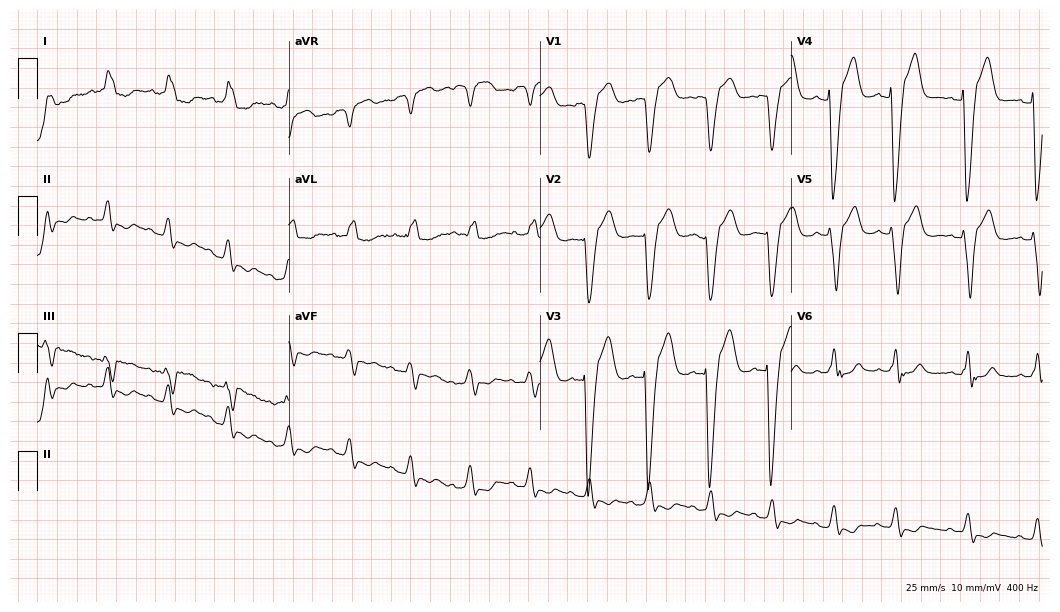
Resting 12-lead electrocardiogram (10.2-second recording at 400 Hz). Patient: a 73-year-old female. The tracing shows left bundle branch block.